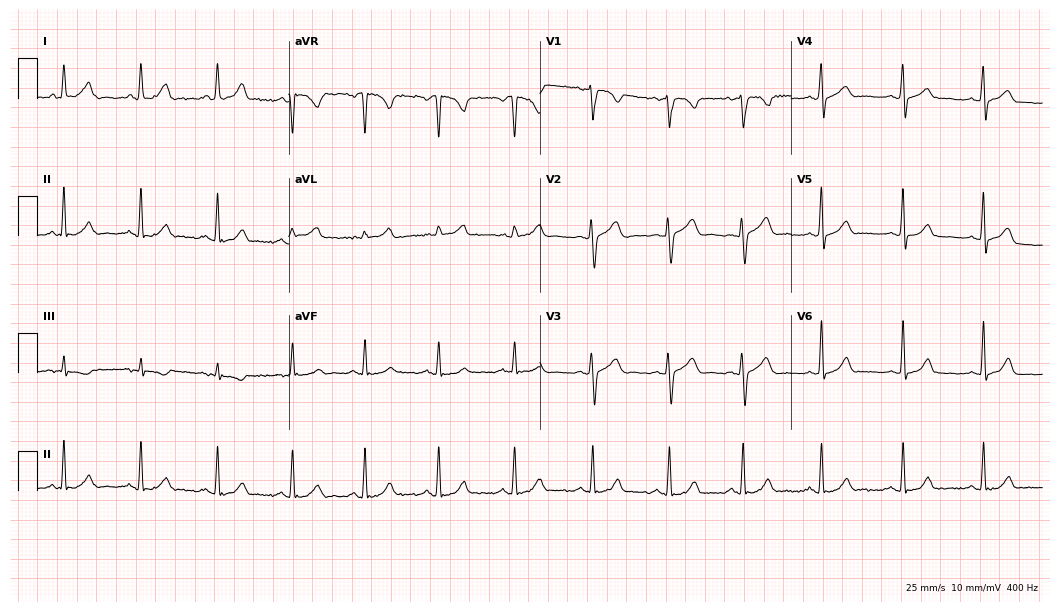
Standard 12-lead ECG recorded from a woman, 35 years old (10.2-second recording at 400 Hz). Read as a normal ECG.